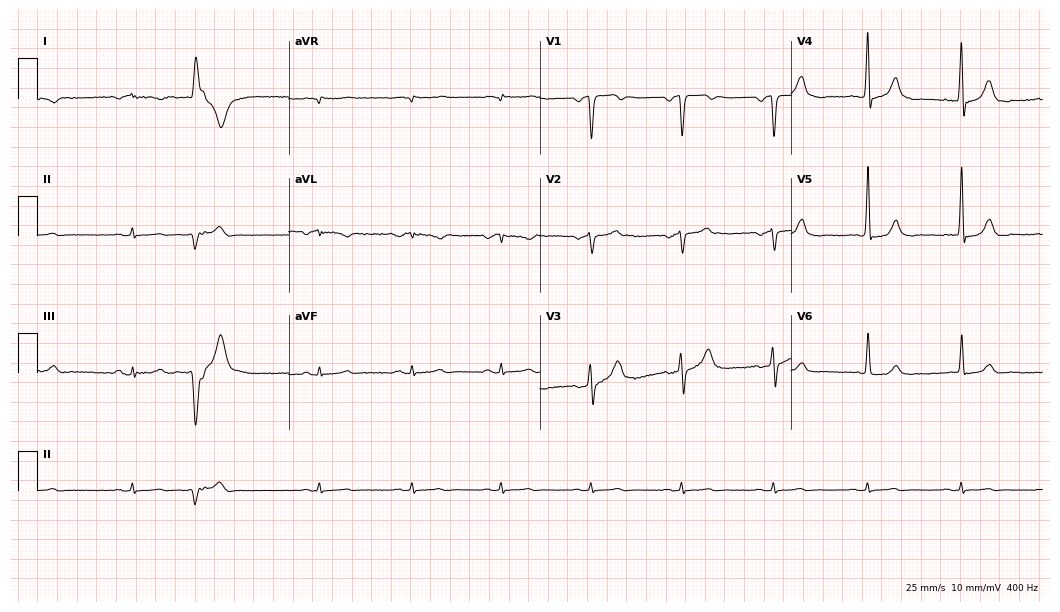
Resting 12-lead electrocardiogram. Patient: a 57-year-old female. None of these six findings is recorded: first-degree AV block, right bundle branch block, left bundle branch block, sinus bradycardia, atrial fibrillation, sinus tachycardia.